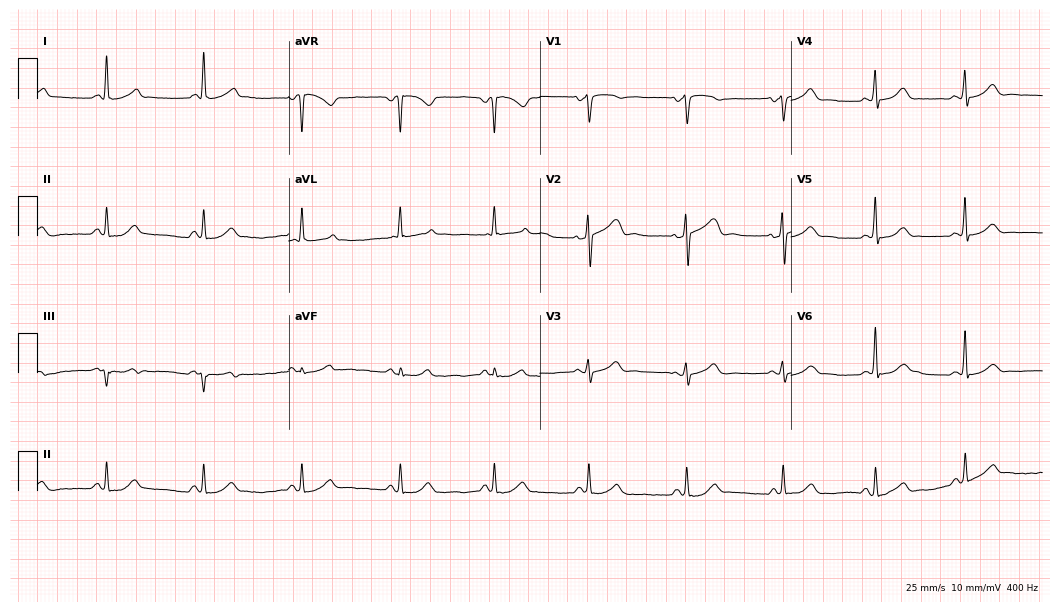
Standard 12-lead ECG recorded from a female, 45 years old. Read as a normal ECG.